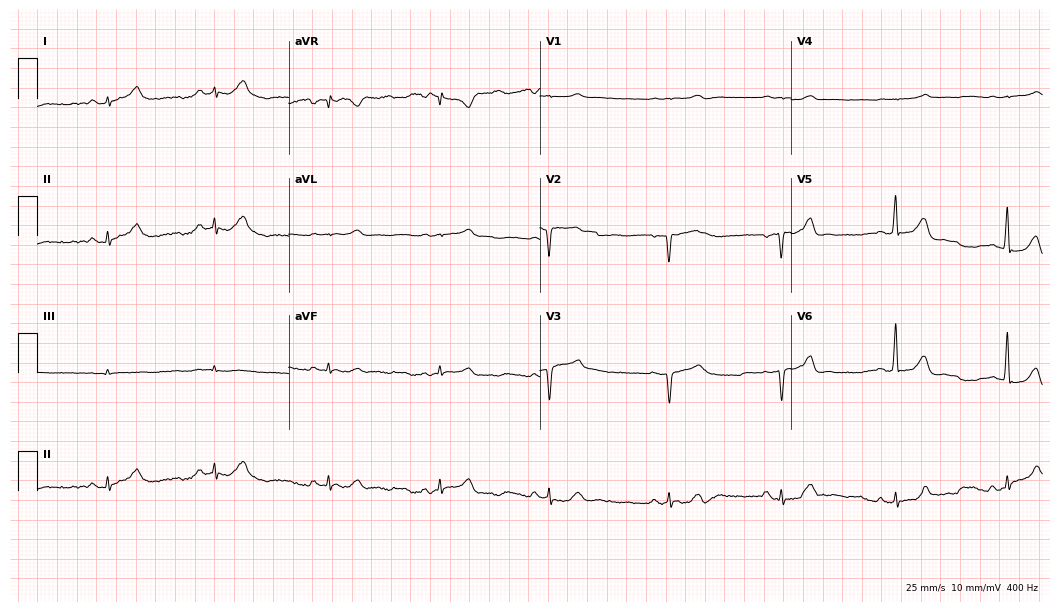
Resting 12-lead electrocardiogram. Patient: a woman, 34 years old. None of these six findings is recorded: first-degree AV block, right bundle branch block, left bundle branch block, sinus bradycardia, atrial fibrillation, sinus tachycardia.